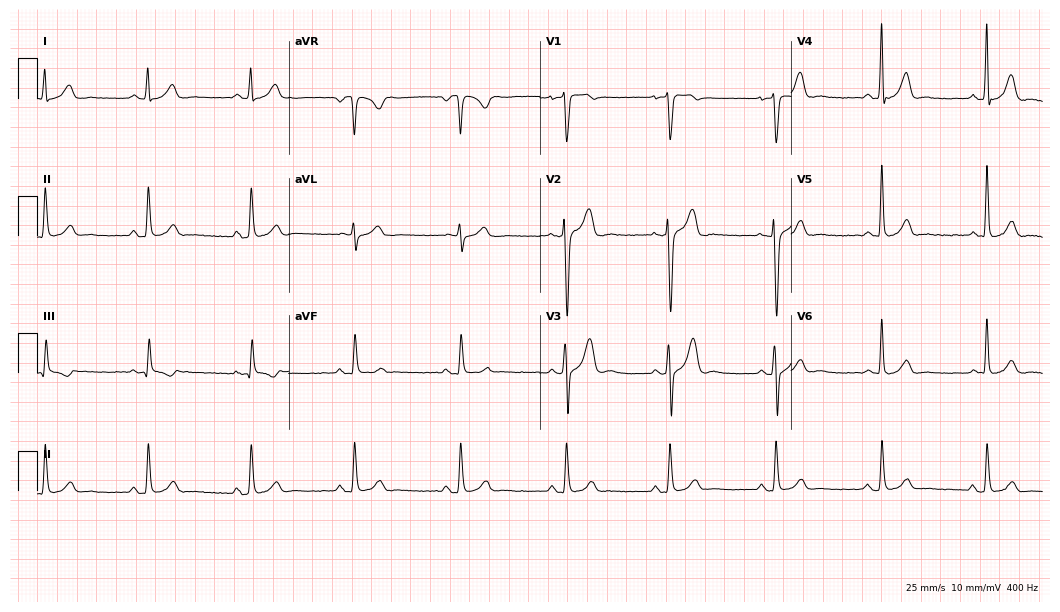
12-lead ECG from a 26-year-old male patient. Labelled as a normal ECG.